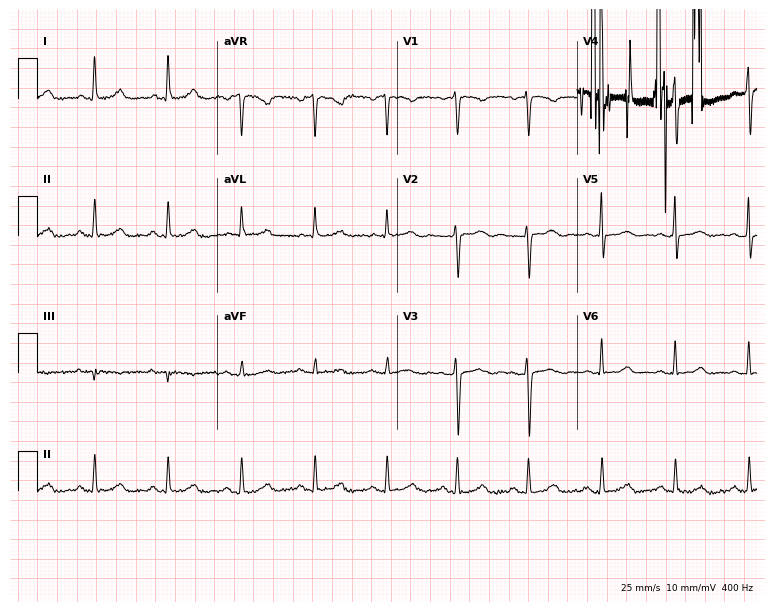
12-lead ECG (7.3-second recording at 400 Hz) from a 48-year-old woman. Screened for six findings — first-degree AV block, right bundle branch block, left bundle branch block, sinus bradycardia, atrial fibrillation, sinus tachycardia — none is recorded.